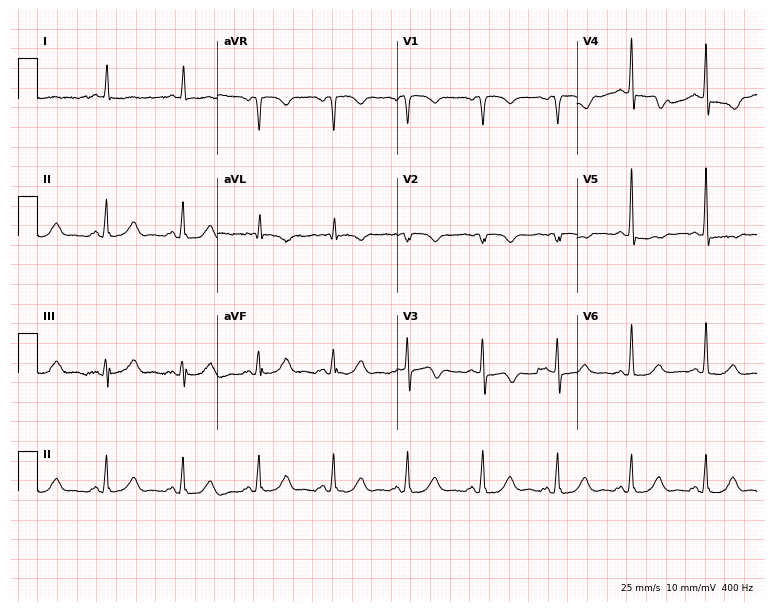
ECG — a 78-year-old male. Screened for six findings — first-degree AV block, right bundle branch block (RBBB), left bundle branch block (LBBB), sinus bradycardia, atrial fibrillation (AF), sinus tachycardia — none is recorded.